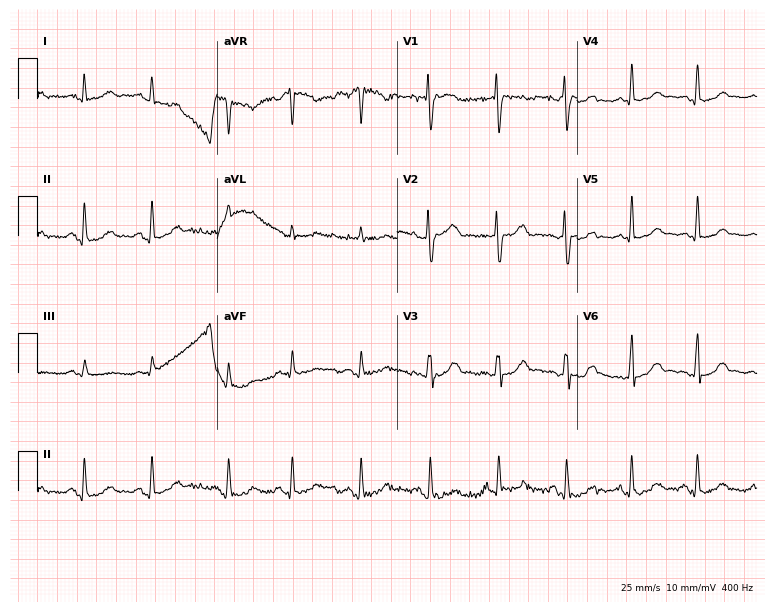
12-lead ECG (7.3-second recording at 400 Hz) from a 40-year-old female patient. Screened for six findings — first-degree AV block, right bundle branch block (RBBB), left bundle branch block (LBBB), sinus bradycardia, atrial fibrillation (AF), sinus tachycardia — none is recorded. Only these six findings were labelled.